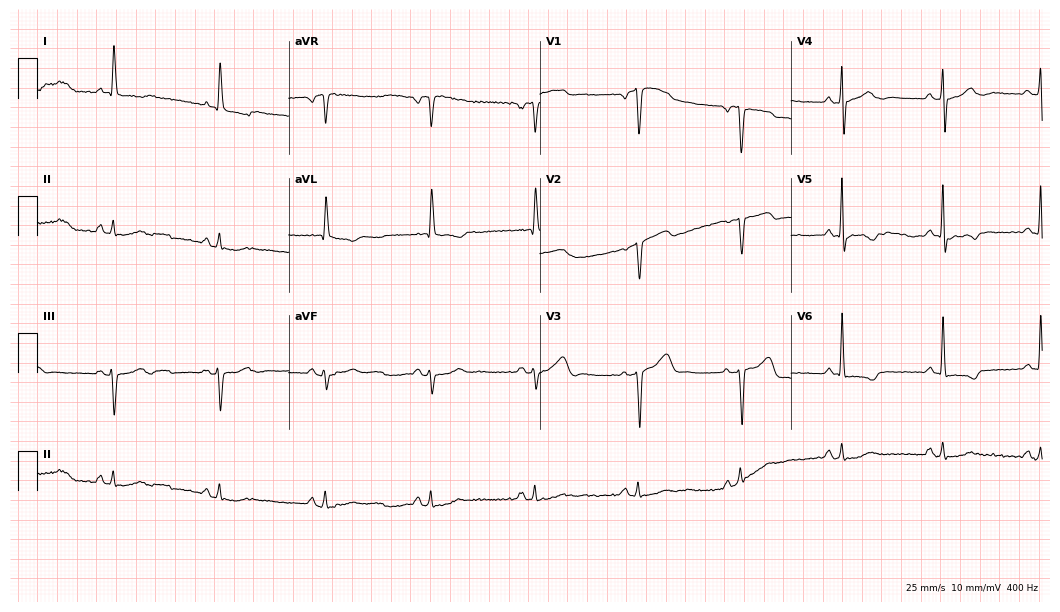
Electrocardiogram (10.2-second recording at 400 Hz), a male, 68 years old. Of the six screened findings (first-degree AV block, right bundle branch block (RBBB), left bundle branch block (LBBB), sinus bradycardia, atrial fibrillation (AF), sinus tachycardia), none is recorded.